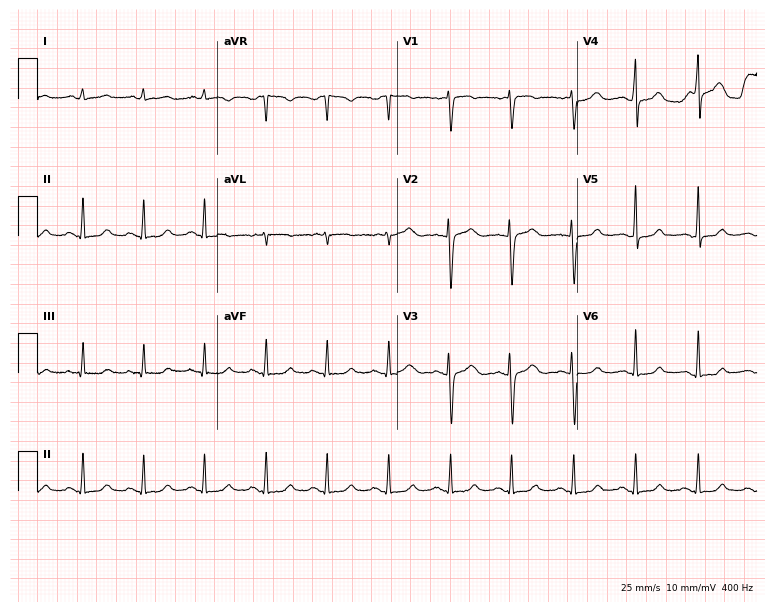
12-lead ECG (7.3-second recording at 400 Hz) from a female, 39 years old. Labelled as a normal ECG.